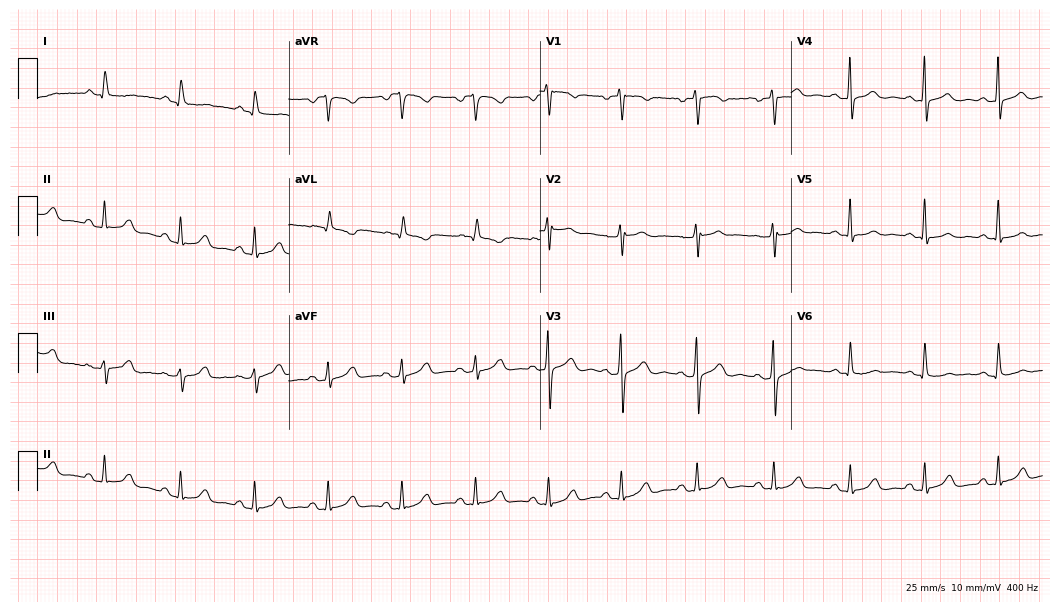
Electrocardiogram (10.2-second recording at 400 Hz), a female, 53 years old. Overall reading on record: normal ECG.